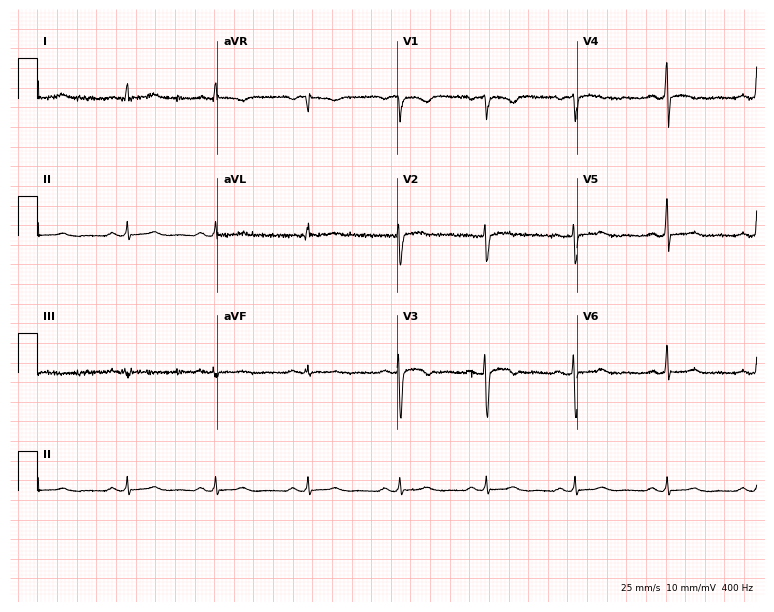
Standard 12-lead ECG recorded from a 40-year-old woman. None of these six findings is recorded: first-degree AV block, right bundle branch block, left bundle branch block, sinus bradycardia, atrial fibrillation, sinus tachycardia.